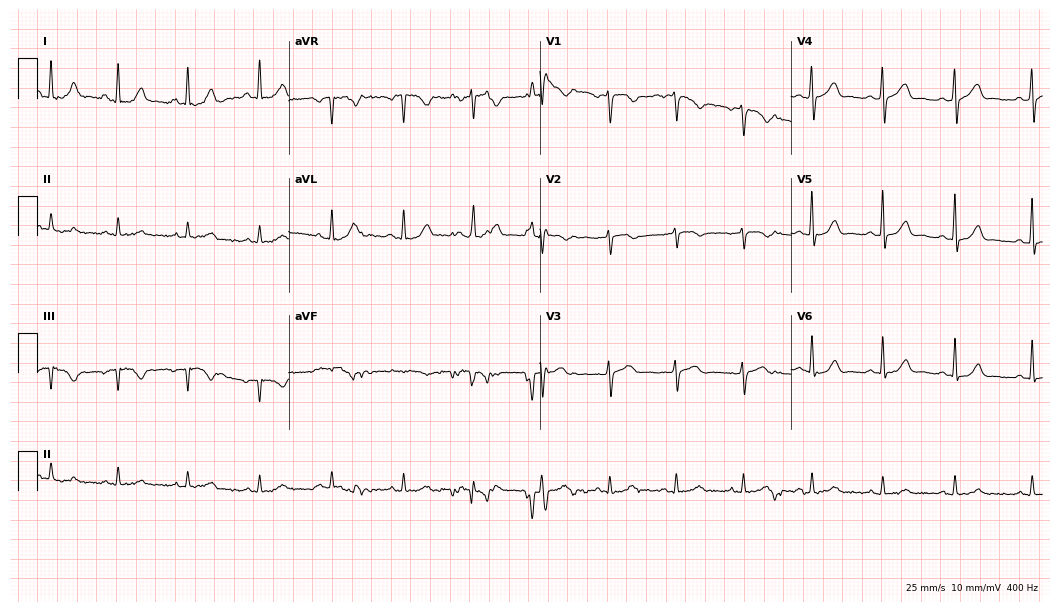
Standard 12-lead ECG recorded from a male, 44 years old (10.2-second recording at 400 Hz). None of these six findings is recorded: first-degree AV block, right bundle branch block (RBBB), left bundle branch block (LBBB), sinus bradycardia, atrial fibrillation (AF), sinus tachycardia.